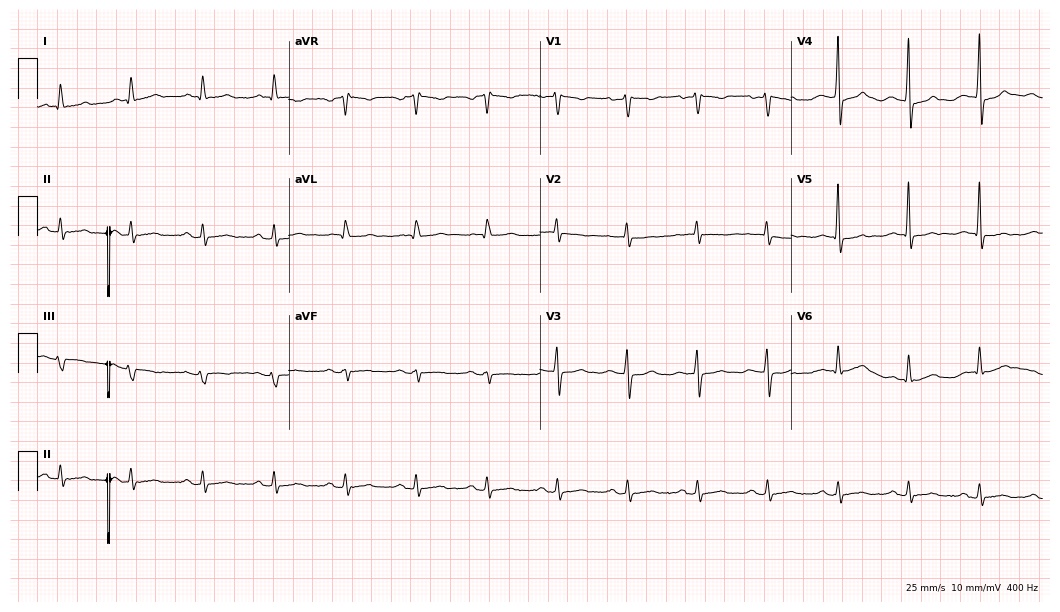
ECG — a woman, 25 years old. Screened for six findings — first-degree AV block, right bundle branch block (RBBB), left bundle branch block (LBBB), sinus bradycardia, atrial fibrillation (AF), sinus tachycardia — none is recorded.